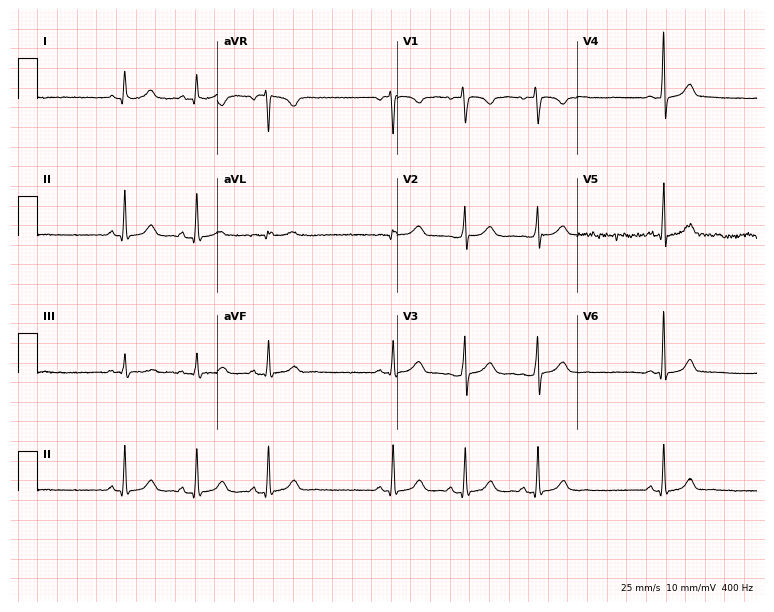
Standard 12-lead ECG recorded from a 25-year-old female patient. Read as a normal ECG.